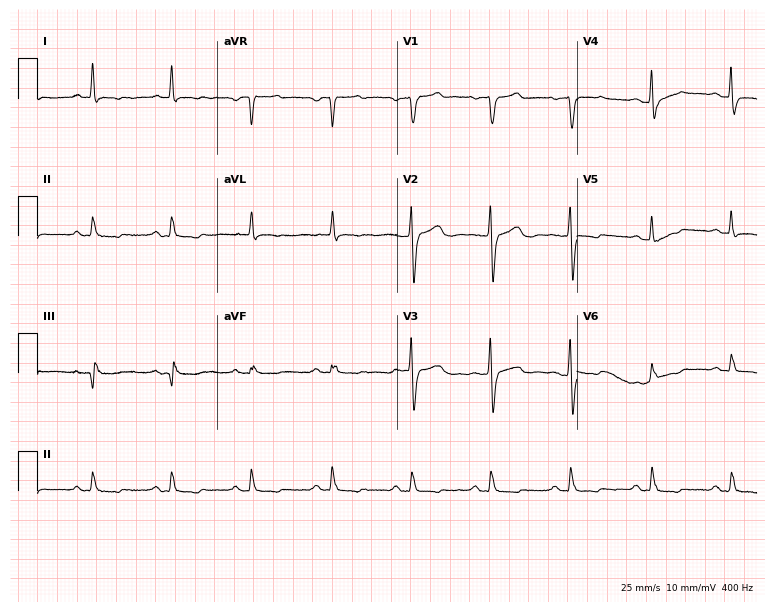
Resting 12-lead electrocardiogram (7.3-second recording at 400 Hz). Patient: a female, 64 years old. None of these six findings is recorded: first-degree AV block, right bundle branch block, left bundle branch block, sinus bradycardia, atrial fibrillation, sinus tachycardia.